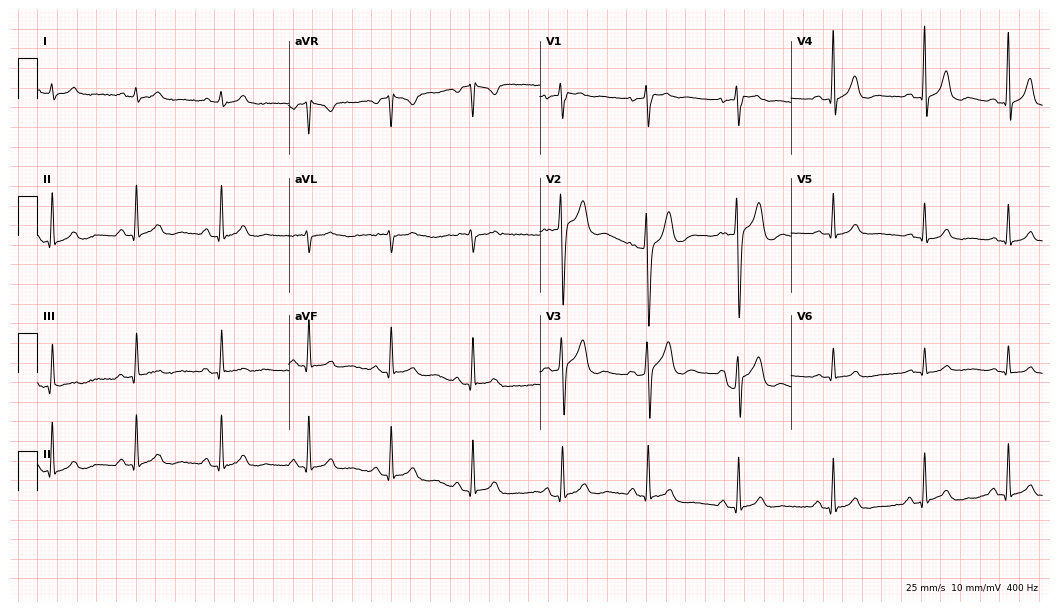
12-lead ECG from a 29-year-old male patient. Recorded interpretation: within normal limits.